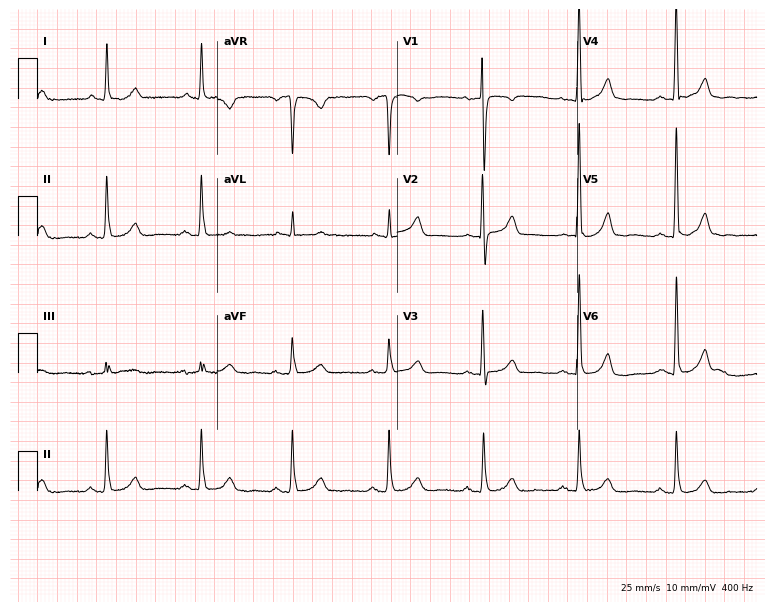
Resting 12-lead electrocardiogram (7.3-second recording at 400 Hz). Patient: a female, 83 years old. Read as a normal ECG.